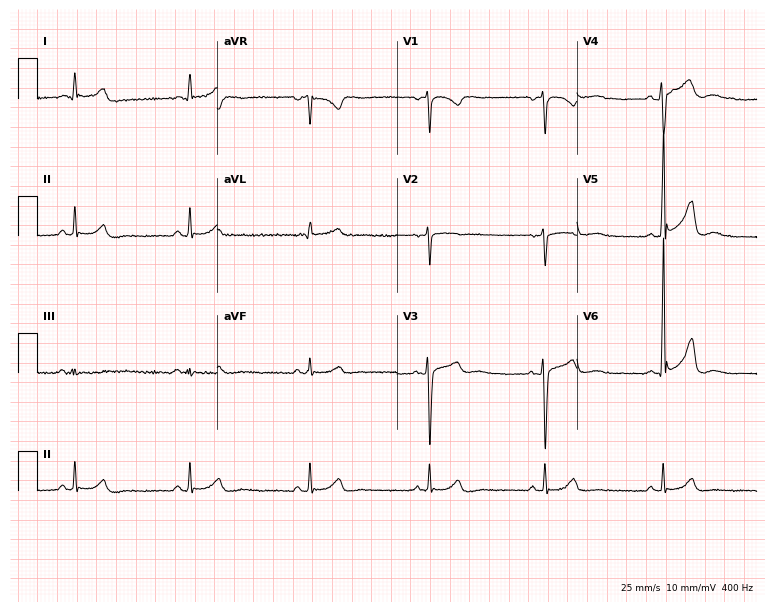
12-lead ECG (7.3-second recording at 400 Hz) from a 50-year-old male. Labelled as a normal ECG.